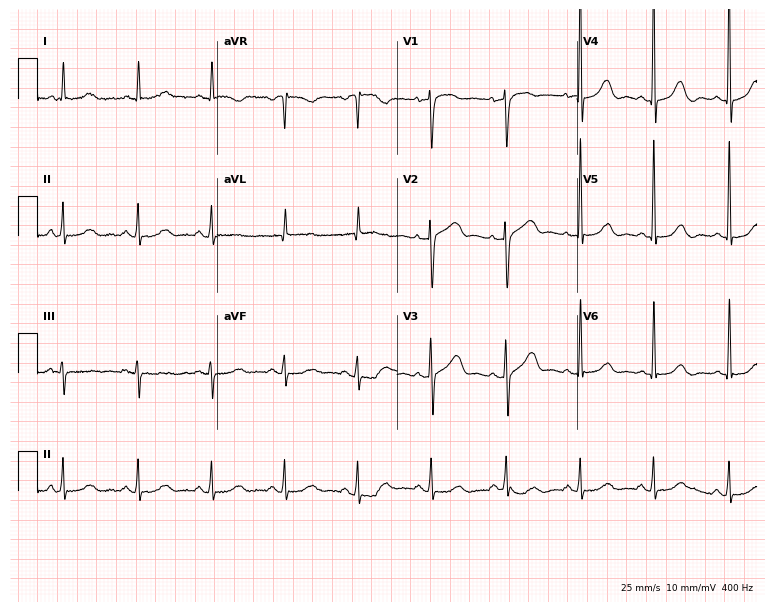
12-lead ECG from a woman, 76 years old (7.3-second recording at 400 Hz). No first-degree AV block, right bundle branch block, left bundle branch block, sinus bradycardia, atrial fibrillation or sinus tachycardia recorded for this tracing. Other findings, if any, are not listed.